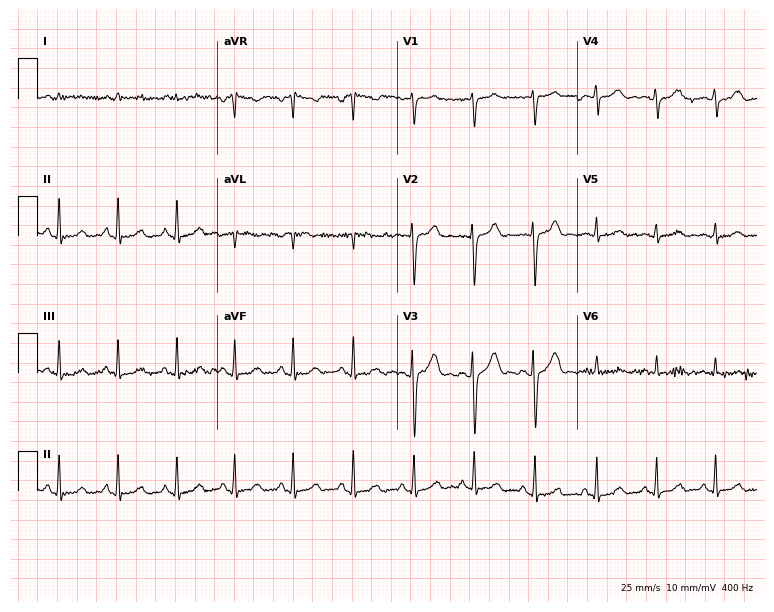
Electrocardiogram (7.3-second recording at 400 Hz), a woman, 21 years old. Of the six screened findings (first-degree AV block, right bundle branch block, left bundle branch block, sinus bradycardia, atrial fibrillation, sinus tachycardia), none is recorded. Findings outside these six are not listed.